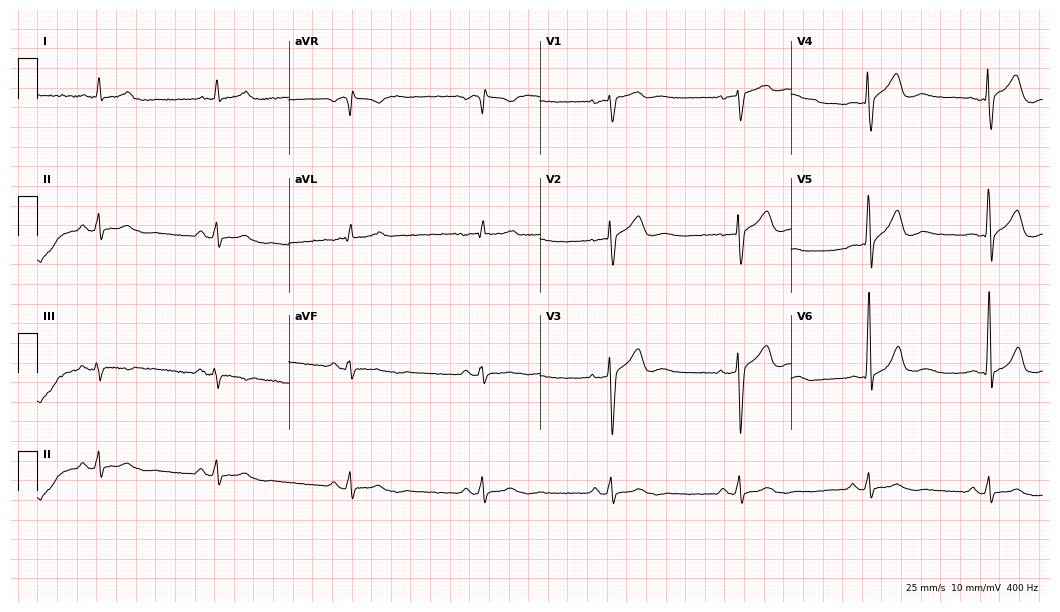
Standard 12-lead ECG recorded from a 58-year-old male. The tracing shows sinus bradycardia (a sinus rate of 50 beats per minute or less).